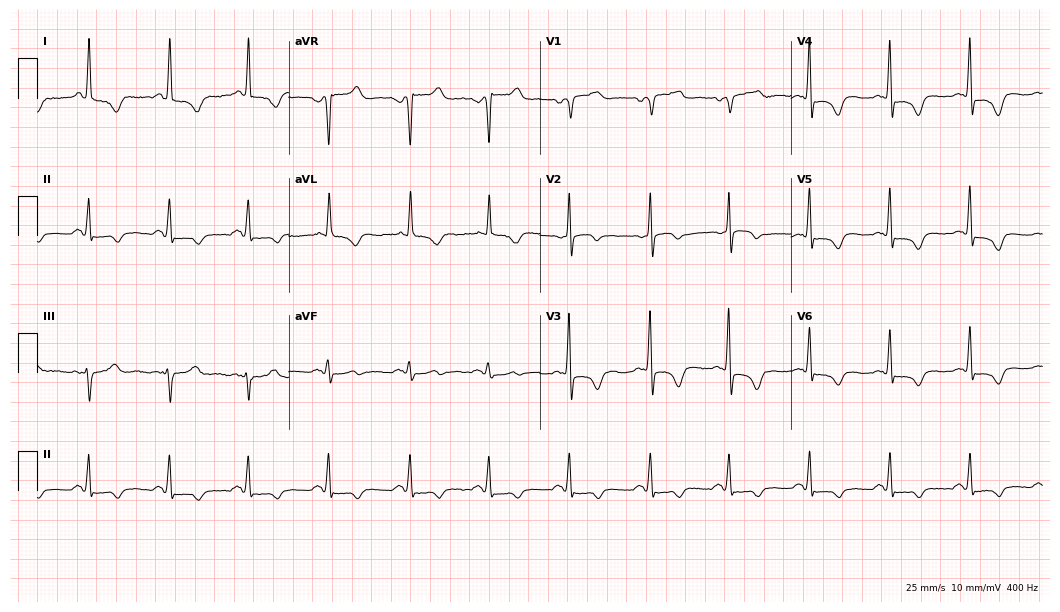
12-lead ECG from a 64-year-old female (10.2-second recording at 400 Hz). No first-degree AV block, right bundle branch block, left bundle branch block, sinus bradycardia, atrial fibrillation or sinus tachycardia recorded for this tracing. Findings outside these six are not listed.